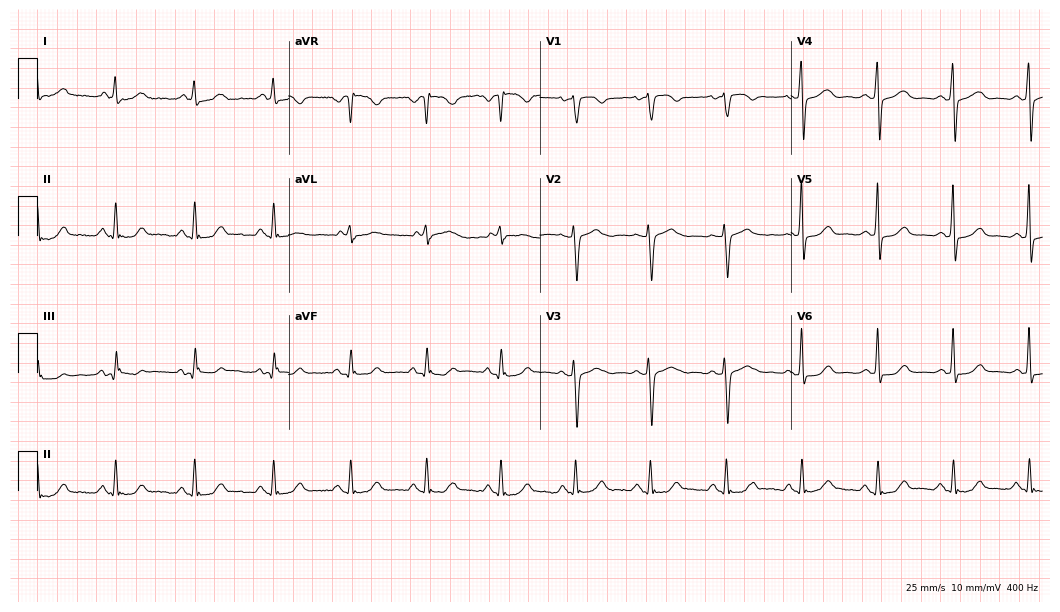
Standard 12-lead ECG recorded from a 57-year-old female (10.2-second recording at 400 Hz). Read as a normal ECG.